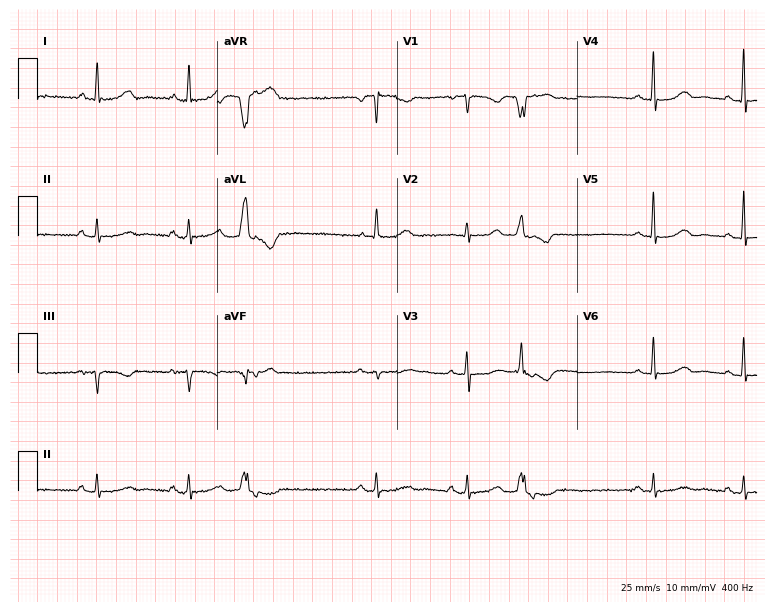
12-lead ECG from a 77-year-old female patient. Screened for six findings — first-degree AV block, right bundle branch block, left bundle branch block, sinus bradycardia, atrial fibrillation, sinus tachycardia — none is recorded.